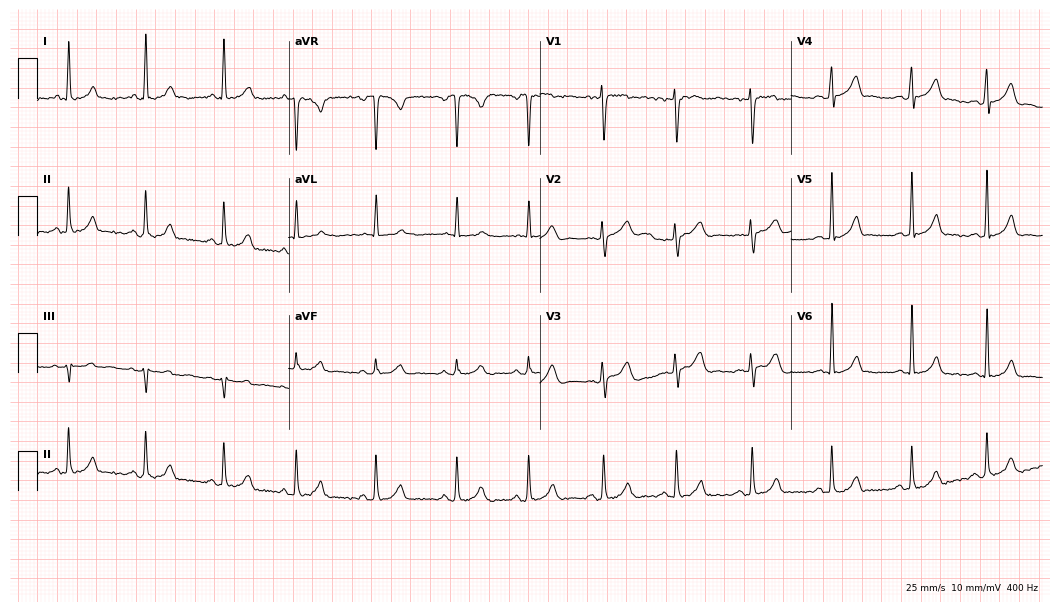
ECG (10.2-second recording at 400 Hz) — a female patient, 21 years old. Labelled as a normal ECG.